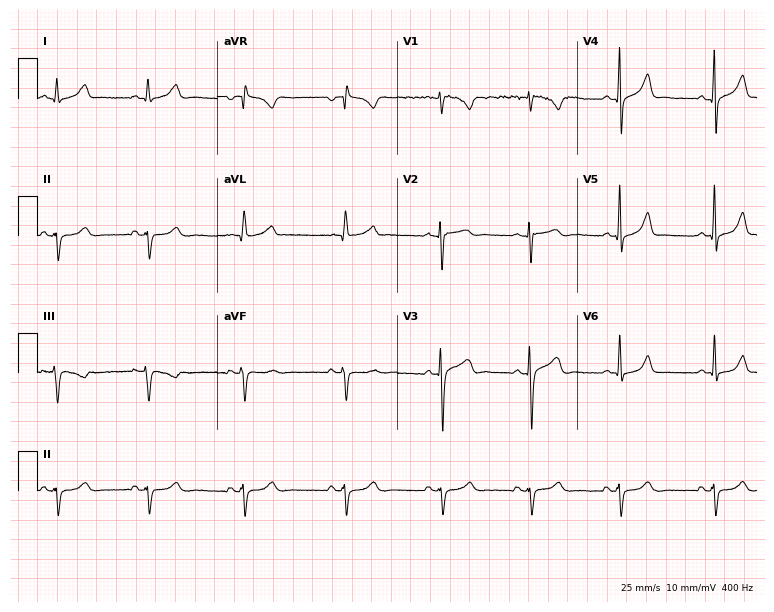
ECG — a man, 24 years old. Screened for six findings — first-degree AV block, right bundle branch block, left bundle branch block, sinus bradycardia, atrial fibrillation, sinus tachycardia — none is recorded. Other findings, if any, are not listed.